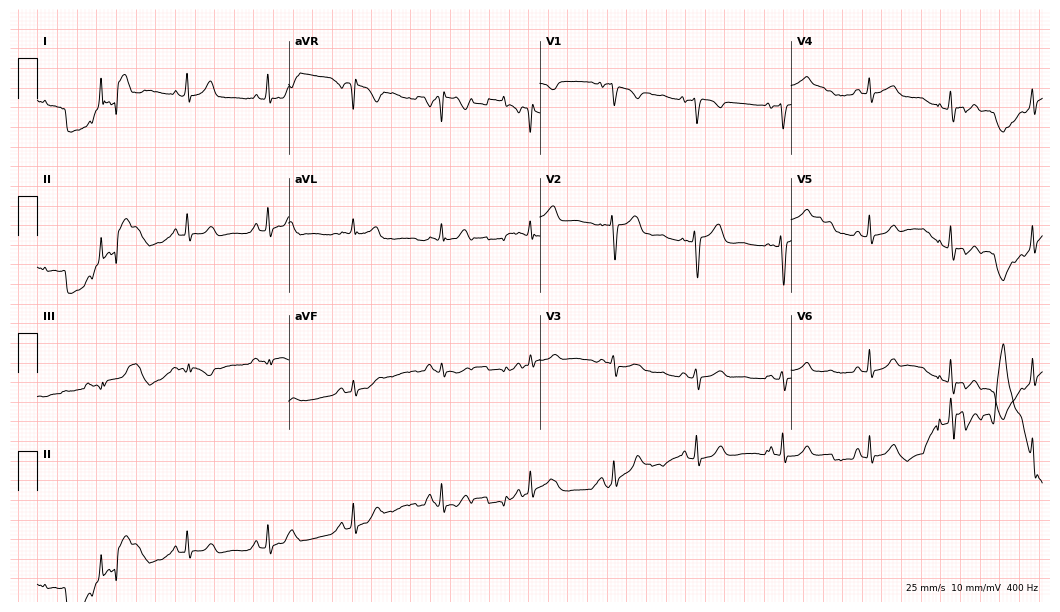
12-lead ECG (10.2-second recording at 400 Hz) from a 32-year-old woman. Labelled as a normal ECG.